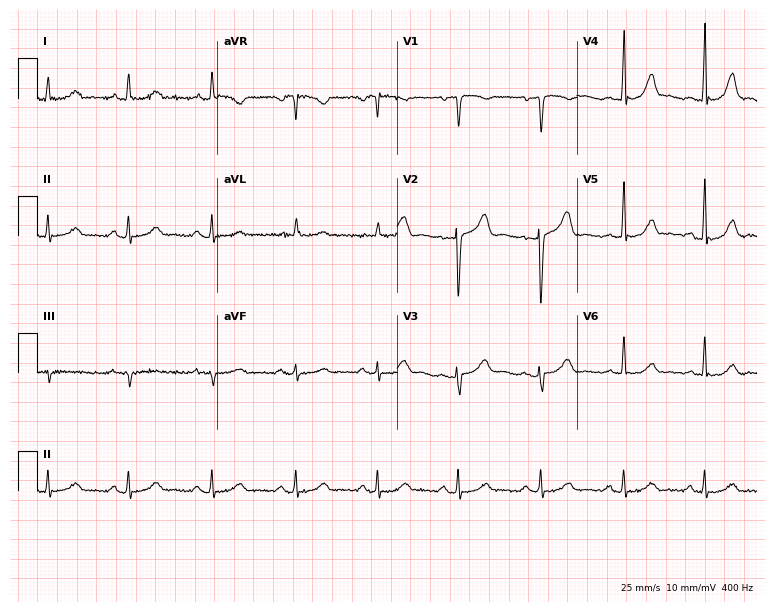
Electrocardiogram, a 76-year-old man. Overall reading on record: normal ECG.